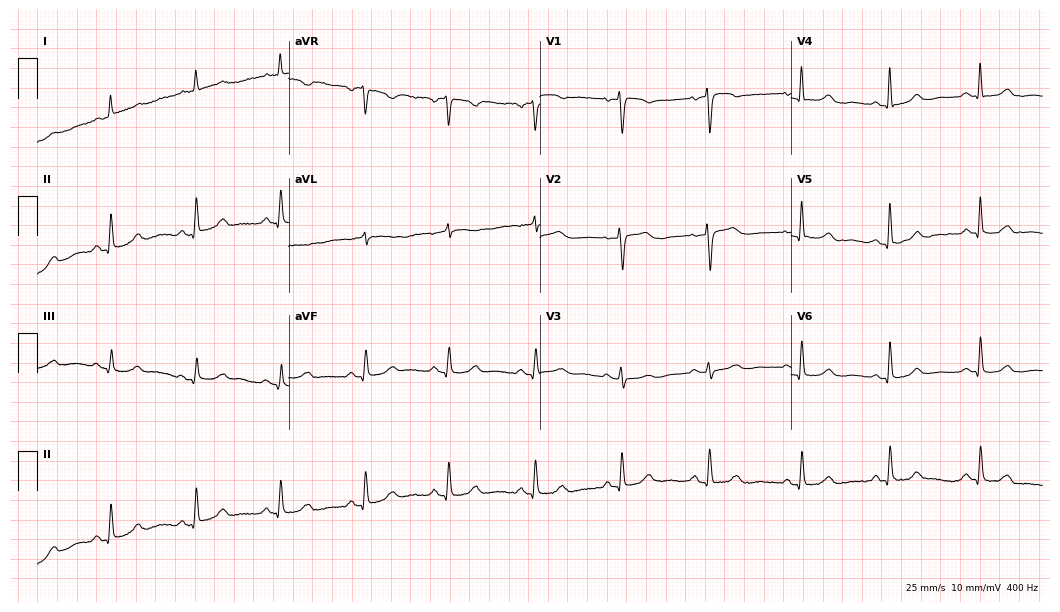
Resting 12-lead electrocardiogram (10.2-second recording at 400 Hz). Patient: a 68-year-old woman. Read as a normal ECG.